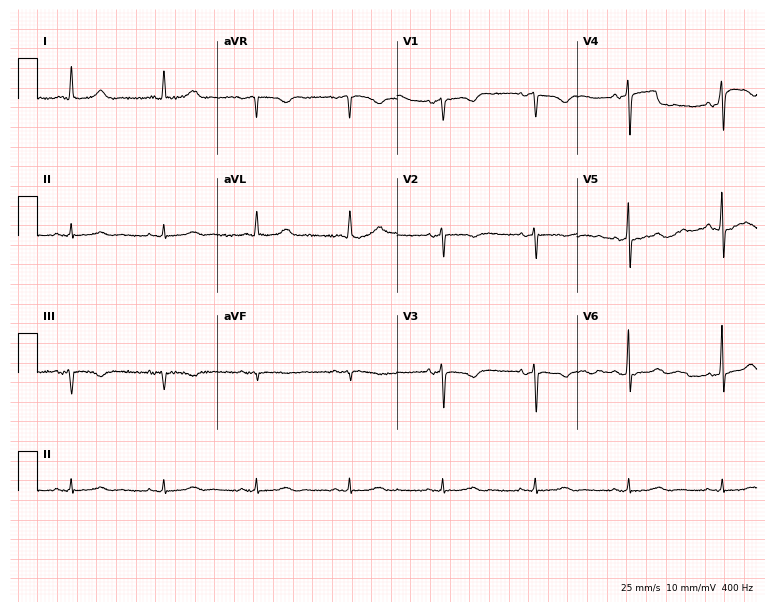
12-lead ECG from an 83-year-old female (7.3-second recording at 400 Hz). No first-degree AV block, right bundle branch block, left bundle branch block, sinus bradycardia, atrial fibrillation or sinus tachycardia recorded for this tracing. Other findings, if any, are not listed.